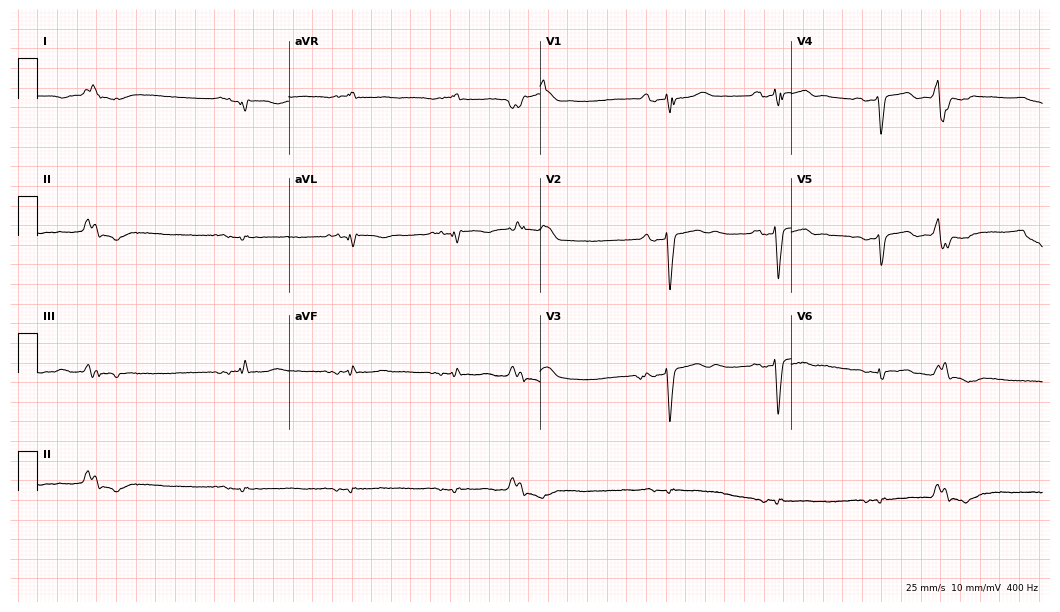
12-lead ECG (10.2-second recording at 400 Hz) from a 64-year-old woman. Screened for six findings — first-degree AV block, right bundle branch block, left bundle branch block, sinus bradycardia, atrial fibrillation, sinus tachycardia — none is recorded.